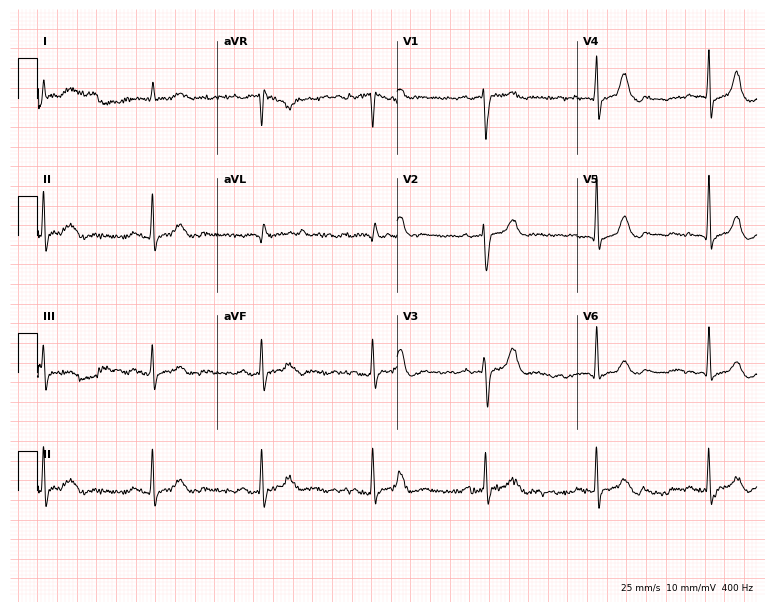
Resting 12-lead electrocardiogram (7.3-second recording at 400 Hz). Patient: a male, 79 years old. The tracing shows first-degree AV block.